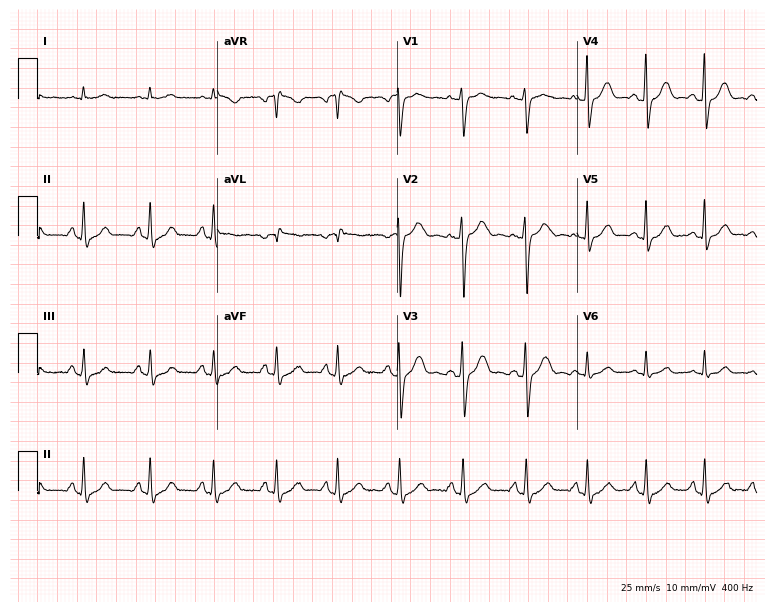
Resting 12-lead electrocardiogram. Patient: a 35-year-old woman. Read as a normal ECG.